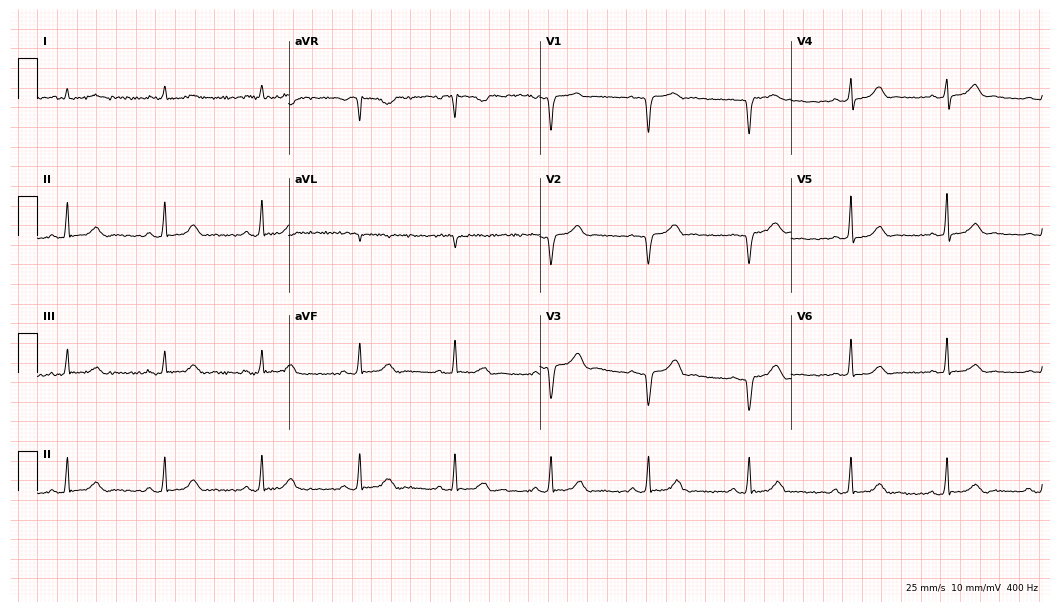
12-lead ECG from a female, 48 years old. No first-degree AV block, right bundle branch block, left bundle branch block, sinus bradycardia, atrial fibrillation or sinus tachycardia recorded for this tracing. Only these six findings were labelled.